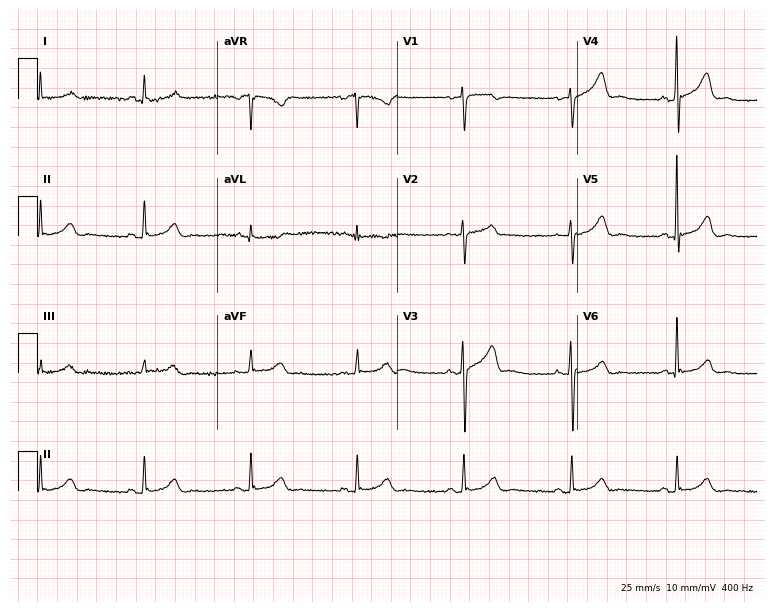
Electrocardiogram (7.3-second recording at 400 Hz), a 65-year-old woman. Of the six screened findings (first-degree AV block, right bundle branch block, left bundle branch block, sinus bradycardia, atrial fibrillation, sinus tachycardia), none is recorded.